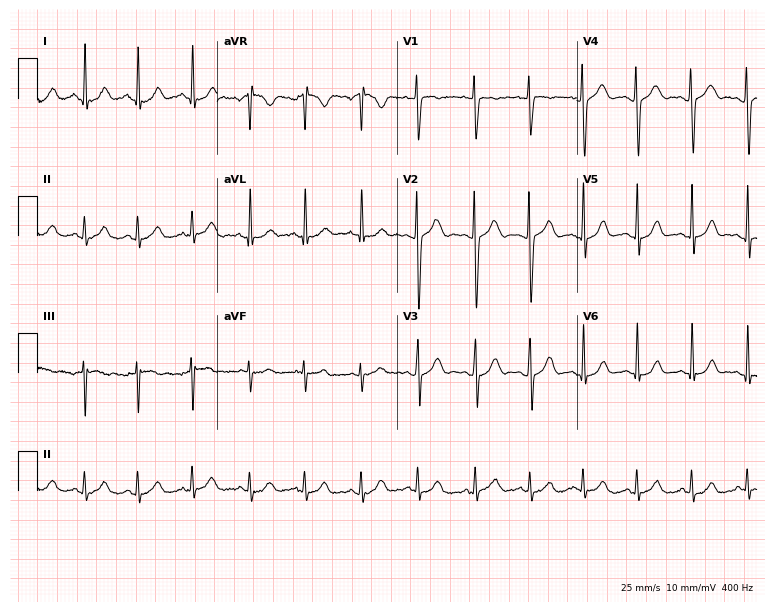
Resting 12-lead electrocardiogram (7.3-second recording at 400 Hz). Patient: a 19-year-old female. The tracing shows sinus tachycardia (a sinus rate of 100 beats per minute or more).